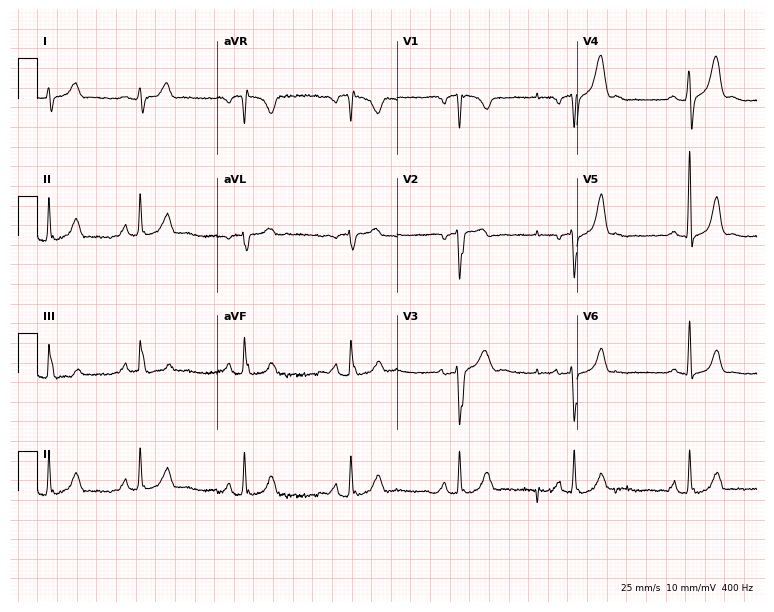
ECG — a 39-year-old man. Labelled as a normal ECG.